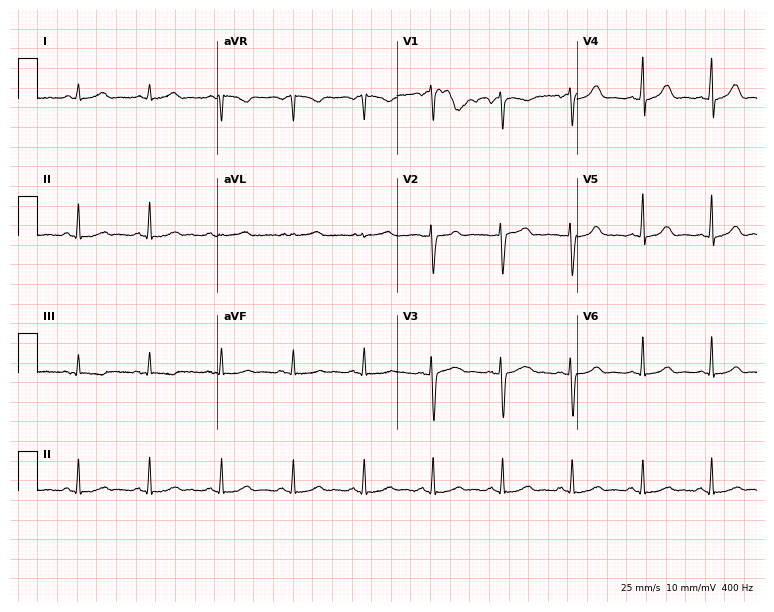
Electrocardiogram (7.3-second recording at 400 Hz), a 39-year-old female patient. Overall reading on record: normal ECG.